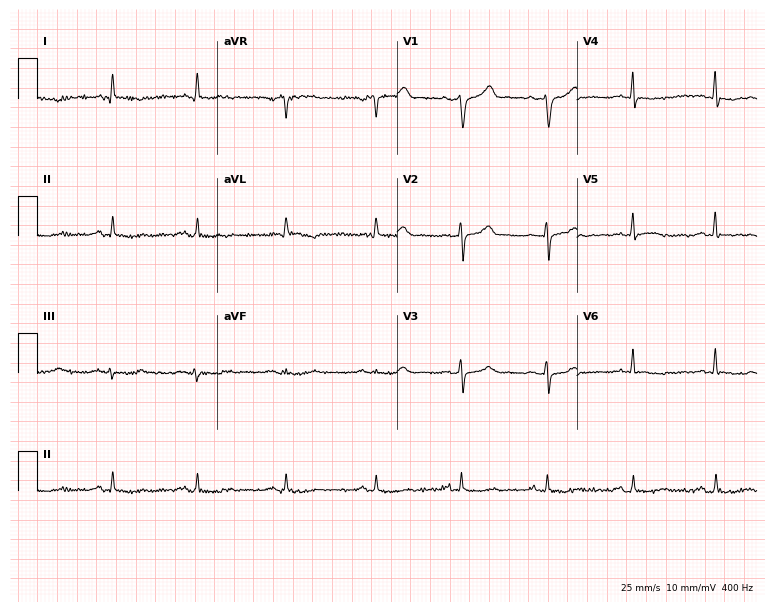
12-lead ECG from a female patient, 68 years old. No first-degree AV block, right bundle branch block (RBBB), left bundle branch block (LBBB), sinus bradycardia, atrial fibrillation (AF) or sinus tachycardia recorded for this tracing. Only these six findings were labelled.